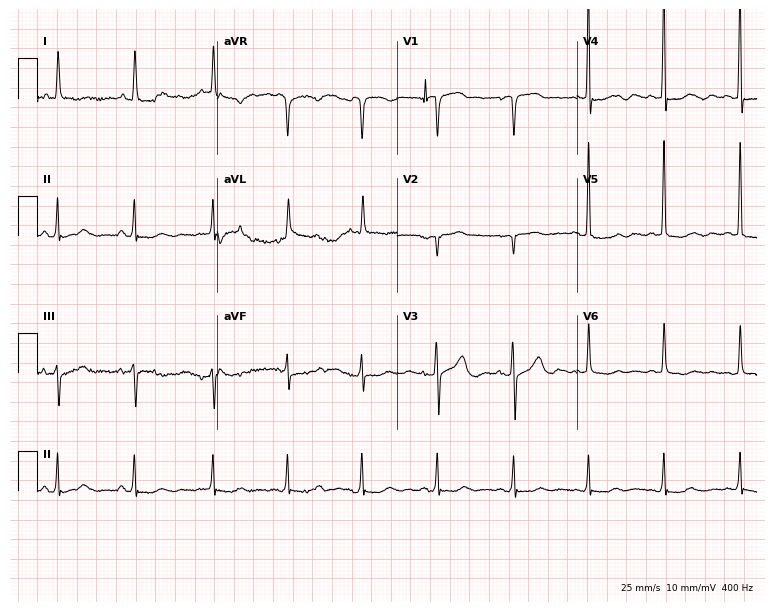
12-lead ECG from a 77-year-old woman. No first-degree AV block, right bundle branch block, left bundle branch block, sinus bradycardia, atrial fibrillation or sinus tachycardia recorded for this tracing. Findings outside these six are not listed.